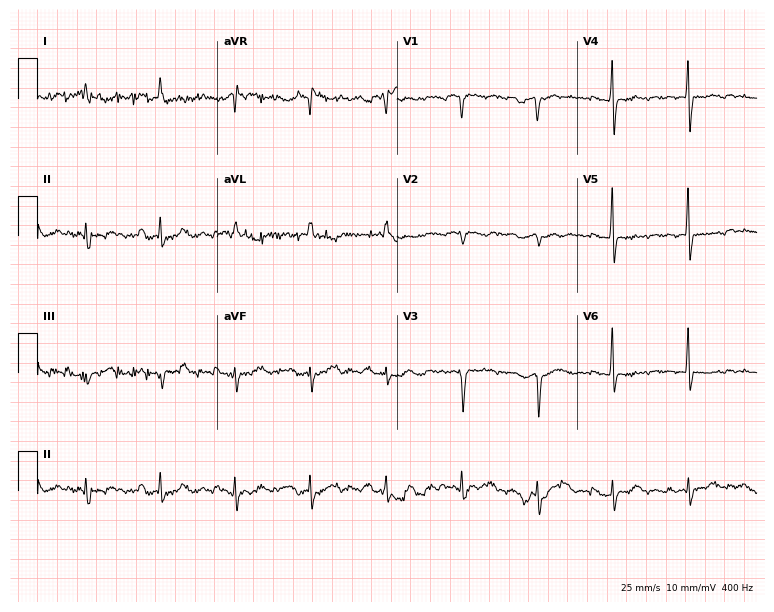
12-lead ECG from a female patient, 86 years old. No first-degree AV block, right bundle branch block, left bundle branch block, sinus bradycardia, atrial fibrillation or sinus tachycardia recorded for this tracing.